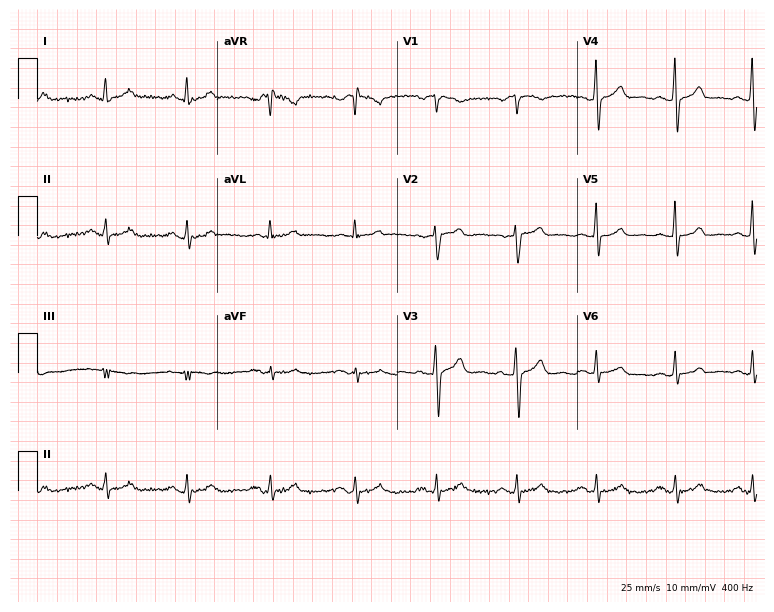
12-lead ECG from a male, 40 years old. Labelled as a normal ECG.